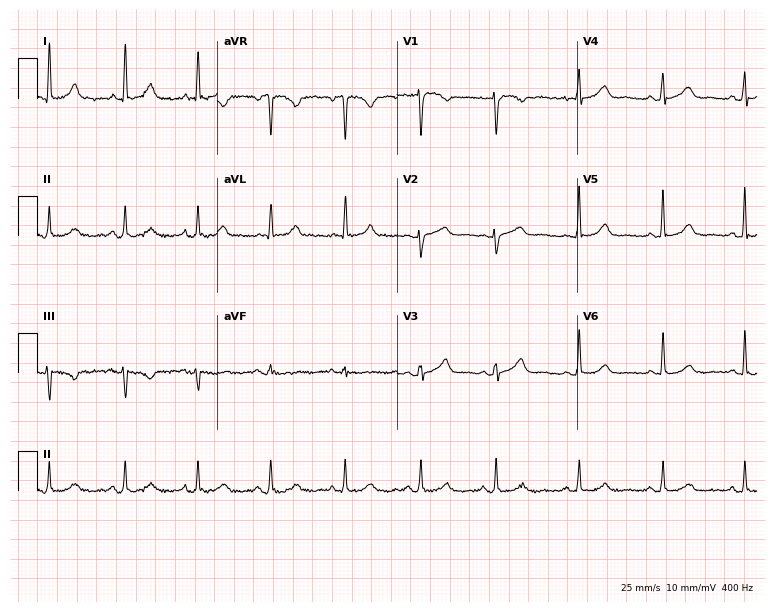
12-lead ECG from a female patient, 49 years old. Labelled as a normal ECG.